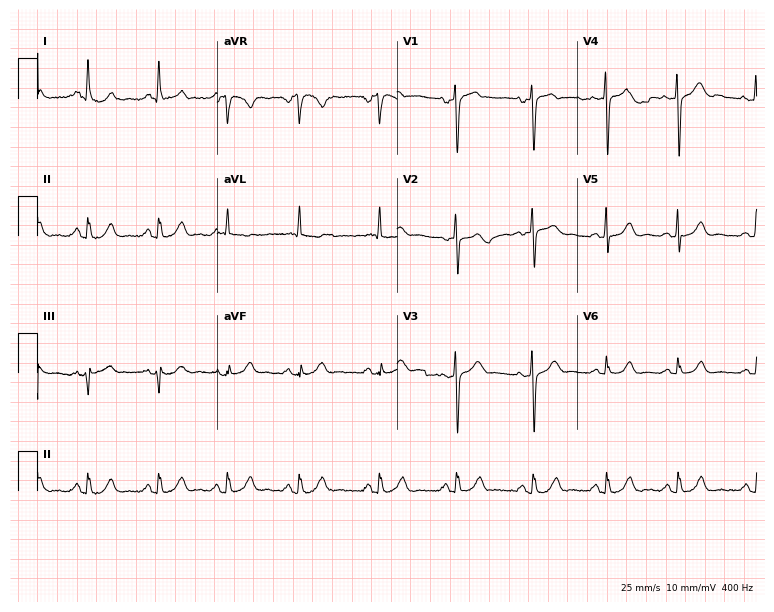
Electrocardiogram, a female, 43 years old. Overall reading on record: normal ECG.